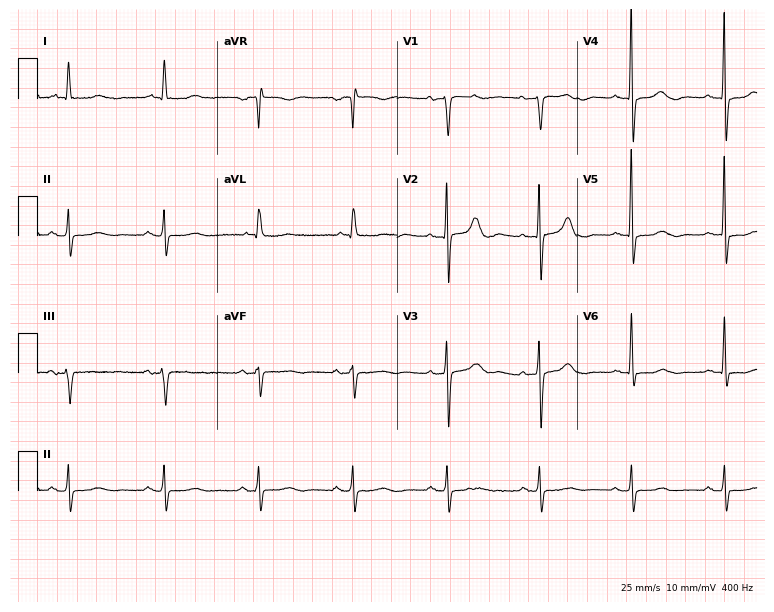
Electrocardiogram (7.3-second recording at 400 Hz), a female, 83 years old. Overall reading on record: normal ECG.